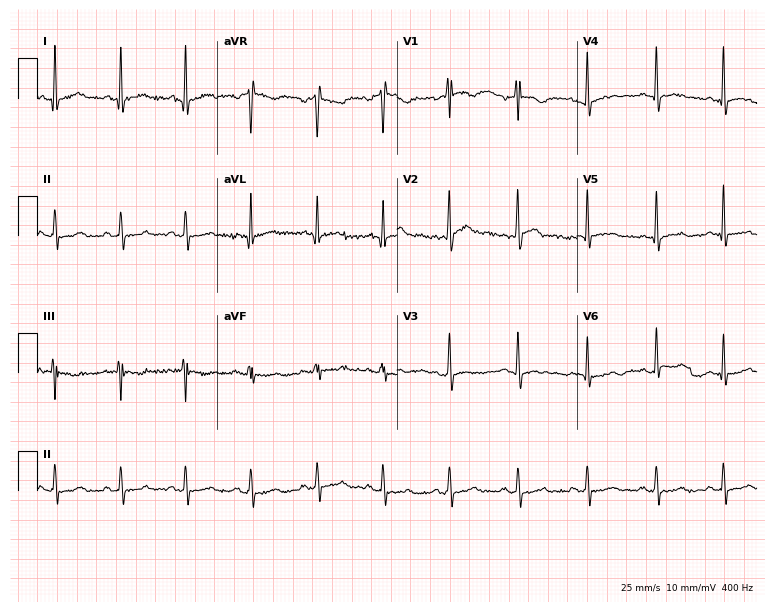
Standard 12-lead ECG recorded from a male, 41 years old (7.3-second recording at 400 Hz). None of these six findings is recorded: first-degree AV block, right bundle branch block (RBBB), left bundle branch block (LBBB), sinus bradycardia, atrial fibrillation (AF), sinus tachycardia.